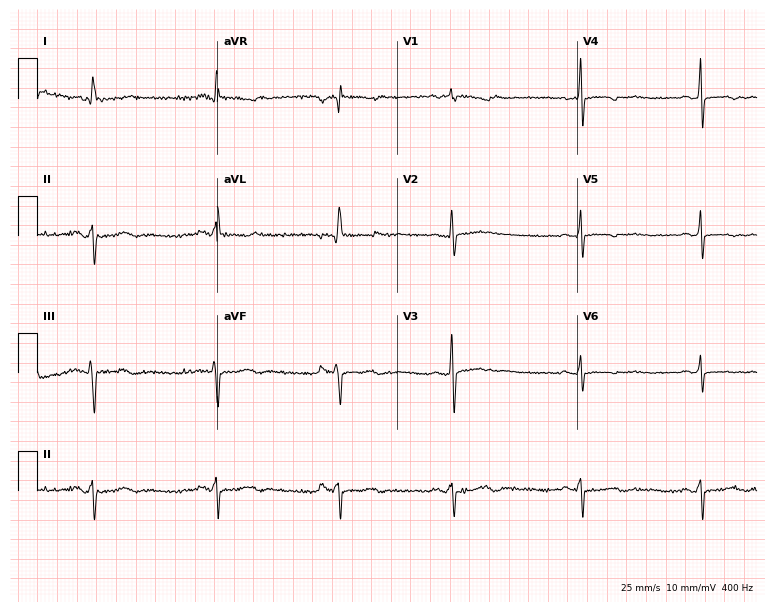
ECG (7.3-second recording at 400 Hz) — a 59-year-old man. Findings include sinus bradycardia (a sinus rate of 50 beats per minute or less).